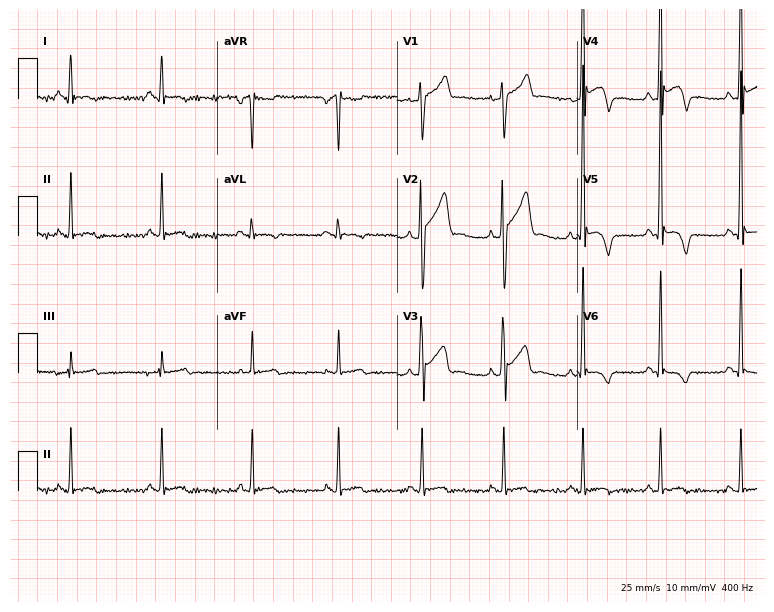
Electrocardiogram, a man, 29 years old. Of the six screened findings (first-degree AV block, right bundle branch block, left bundle branch block, sinus bradycardia, atrial fibrillation, sinus tachycardia), none is recorded.